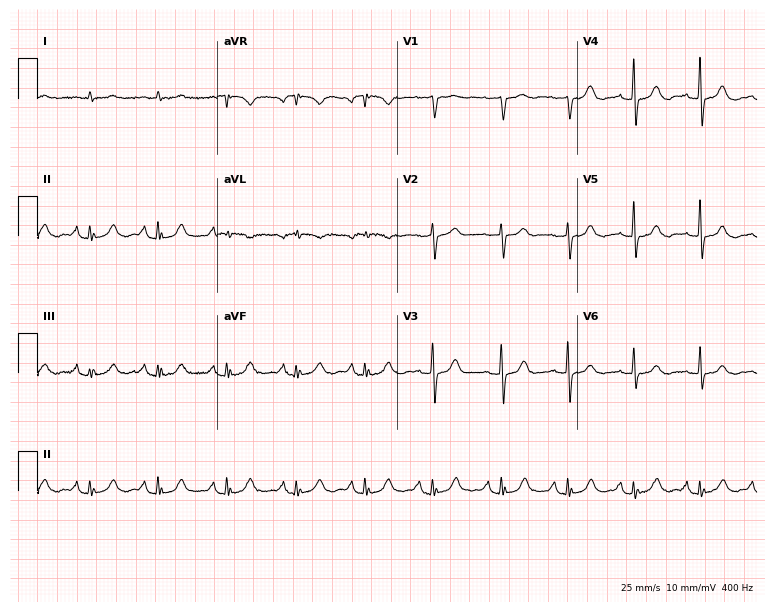
Standard 12-lead ECG recorded from an 84-year-old male (7.3-second recording at 400 Hz). None of these six findings is recorded: first-degree AV block, right bundle branch block, left bundle branch block, sinus bradycardia, atrial fibrillation, sinus tachycardia.